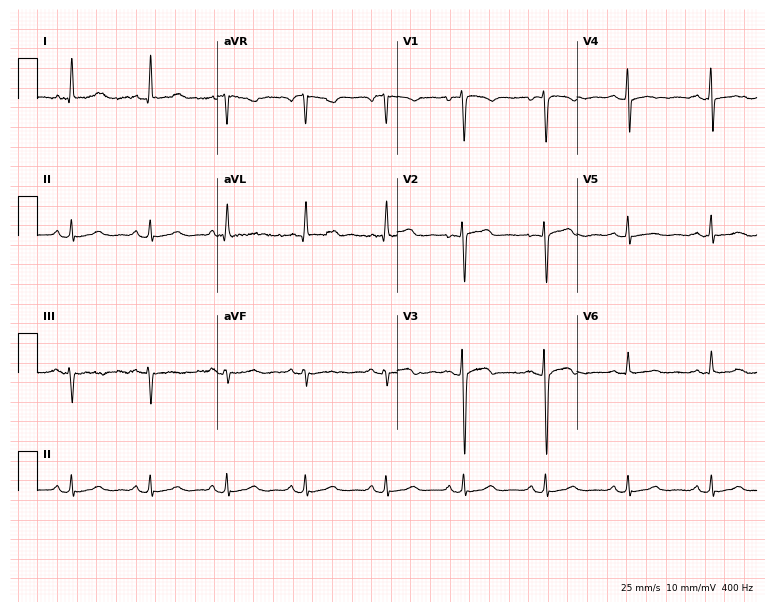
Resting 12-lead electrocardiogram. Patient: a 48-year-old female. Read as a normal ECG.